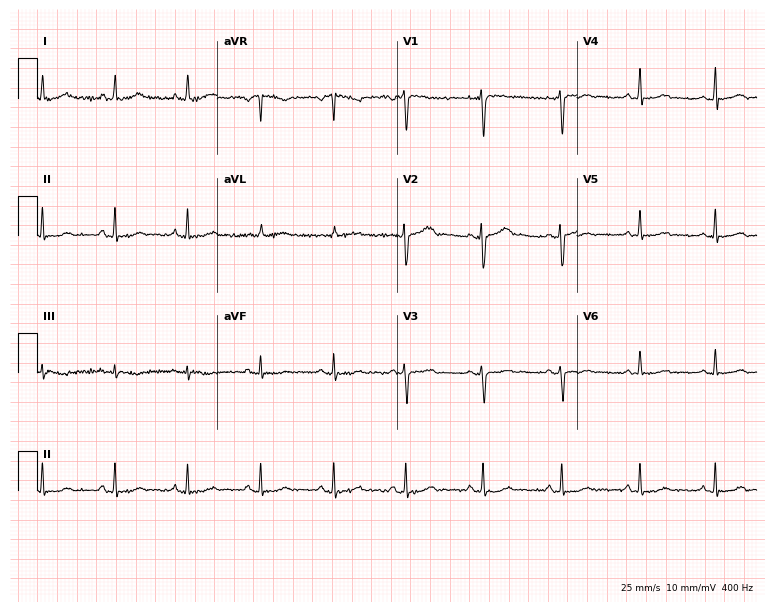
Standard 12-lead ECG recorded from a 40-year-old female patient (7.3-second recording at 400 Hz). Read as a normal ECG.